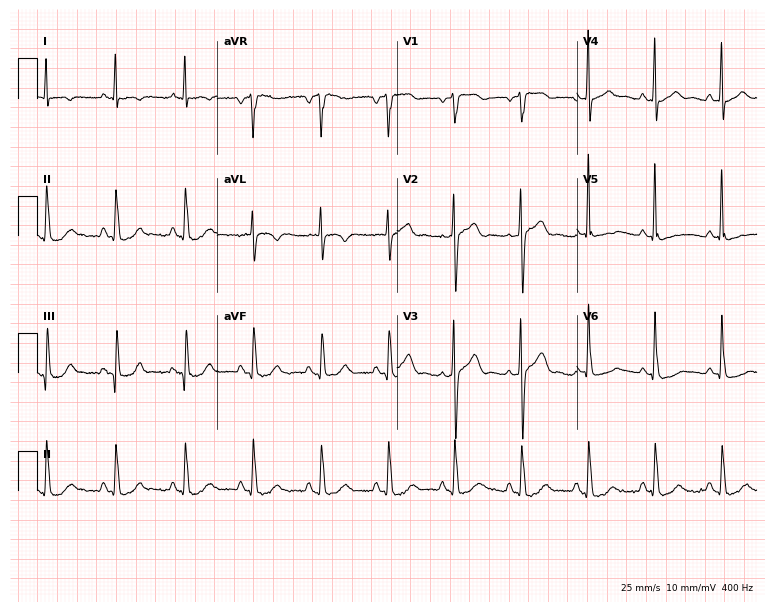
Electrocardiogram, a male patient, 68 years old. Of the six screened findings (first-degree AV block, right bundle branch block (RBBB), left bundle branch block (LBBB), sinus bradycardia, atrial fibrillation (AF), sinus tachycardia), none is recorded.